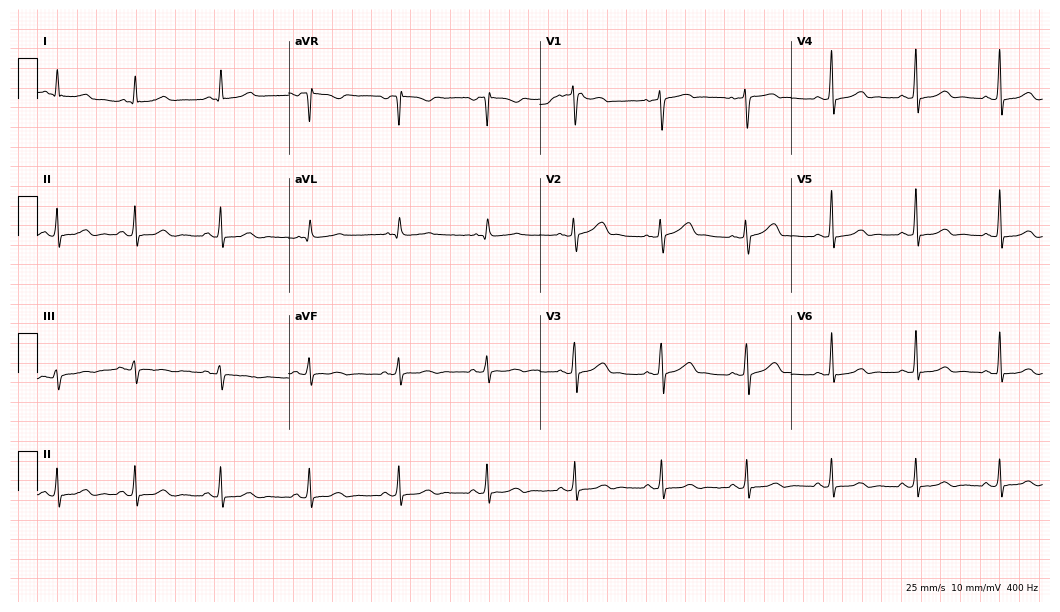
ECG (10.2-second recording at 400 Hz) — a female, 54 years old. Labelled as a normal ECG.